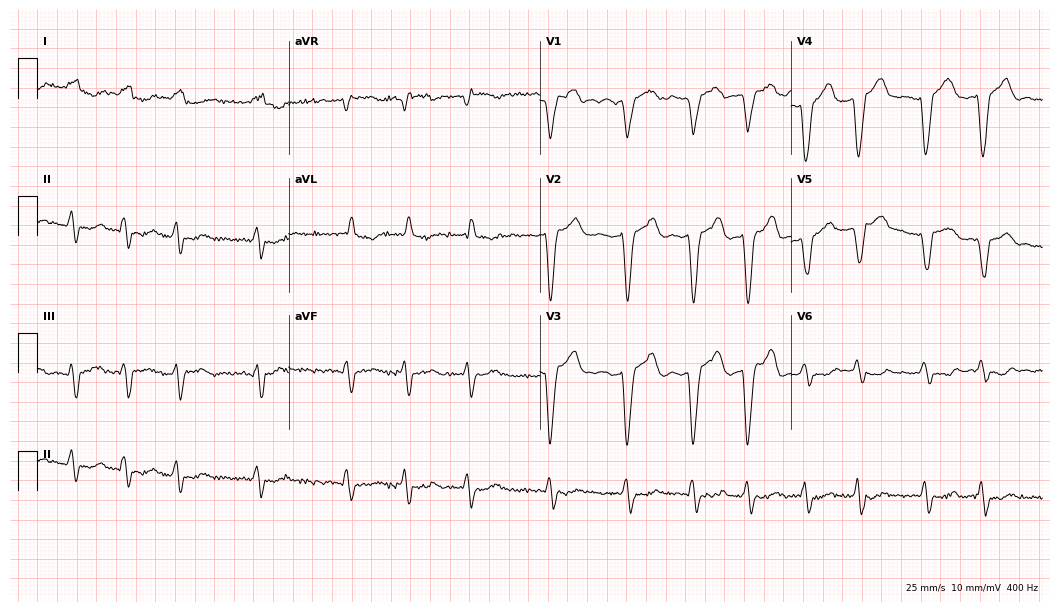
12-lead ECG from a 76-year-old female patient (10.2-second recording at 400 Hz). Shows left bundle branch block, atrial fibrillation.